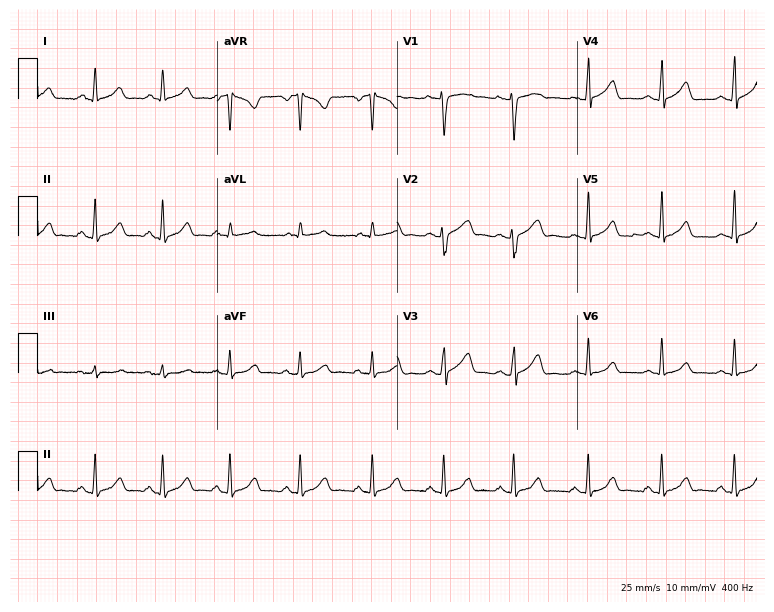
ECG — a female, 33 years old. Screened for six findings — first-degree AV block, right bundle branch block, left bundle branch block, sinus bradycardia, atrial fibrillation, sinus tachycardia — none is recorded.